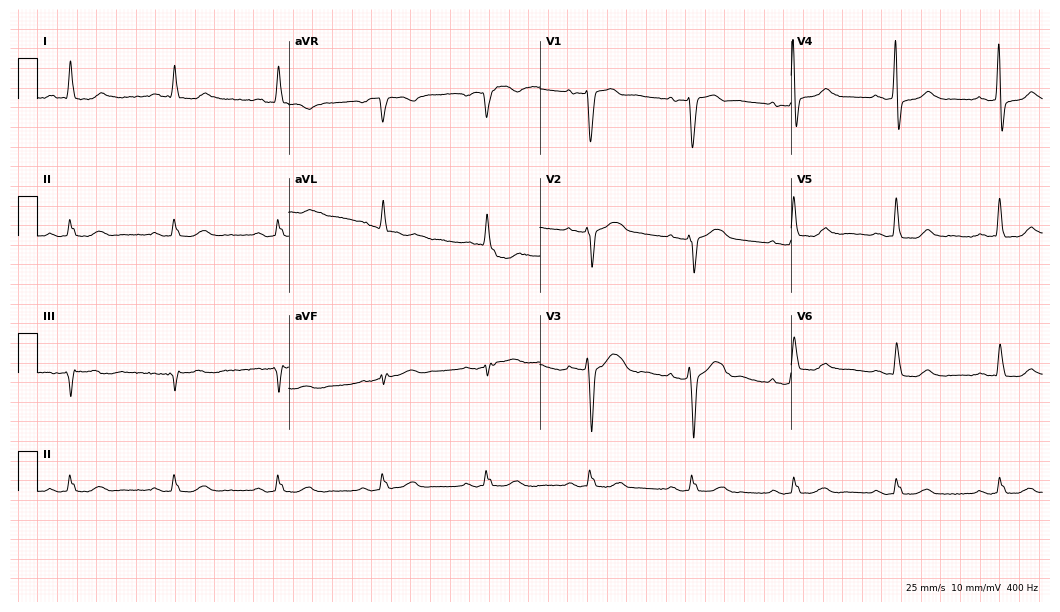
Standard 12-lead ECG recorded from a male patient, 74 years old. None of these six findings is recorded: first-degree AV block, right bundle branch block, left bundle branch block, sinus bradycardia, atrial fibrillation, sinus tachycardia. Other findings, if any, are not listed.